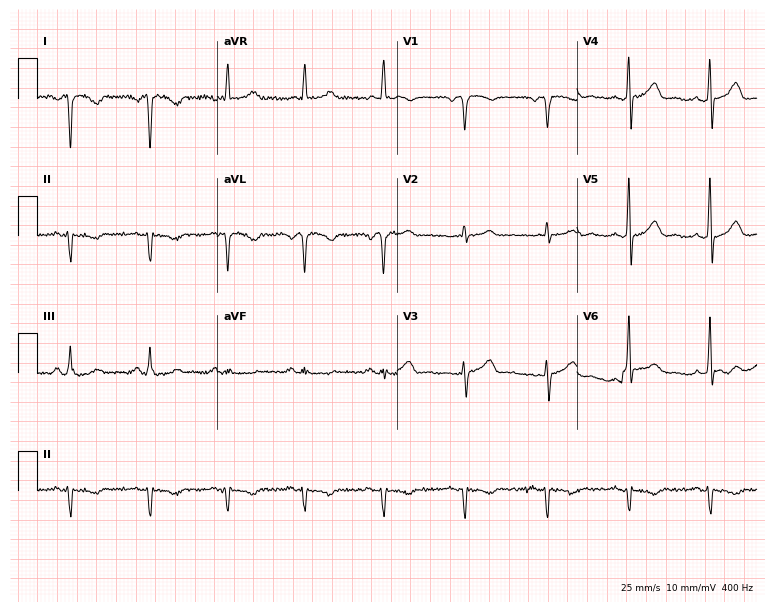
12-lead ECG (7.3-second recording at 400 Hz) from a 50-year-old female. Screened for six findings — first-degree AV block, right bundle branch block, left bundle branch block, sinus bradycardia, atrial fibrillation, sinus tachycardia — none is recorded.